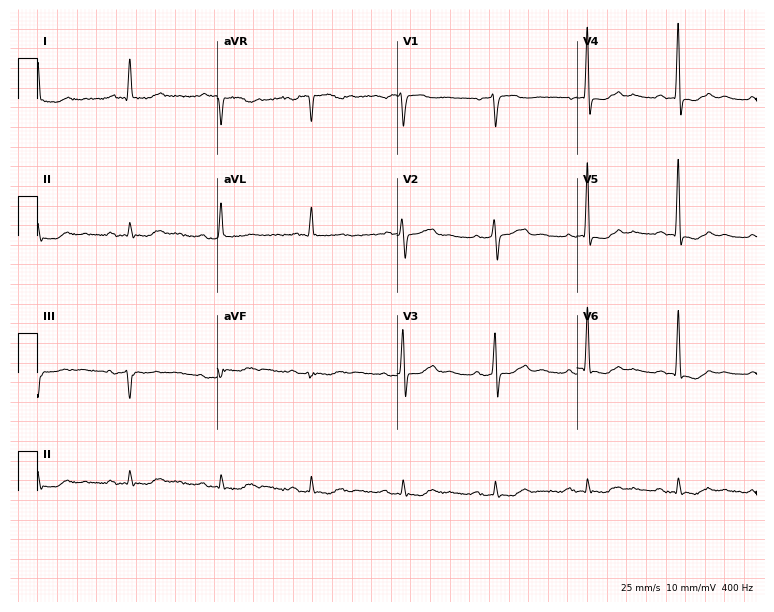
Resting 12-lead electrocardiogram. Patient: a 74-year-old woman. None of these six findings is recorded: first-degree AV block, right bundle branch block, left bundle branch block, sinus bradycardia, atrial fibrillation, sinus tachycardia.